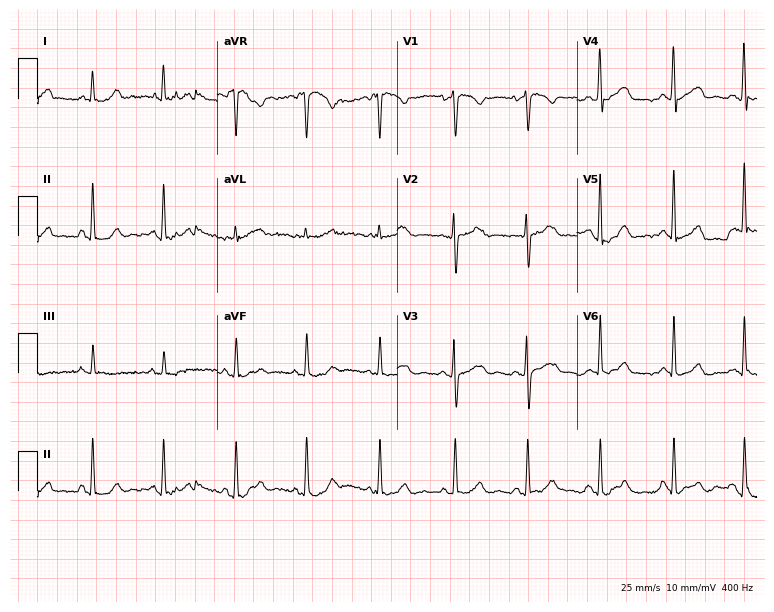
12-lead ECG (7.3-second recording at 400 Hz) from a 26-year-old female patient. Labelled as a normal ECG.